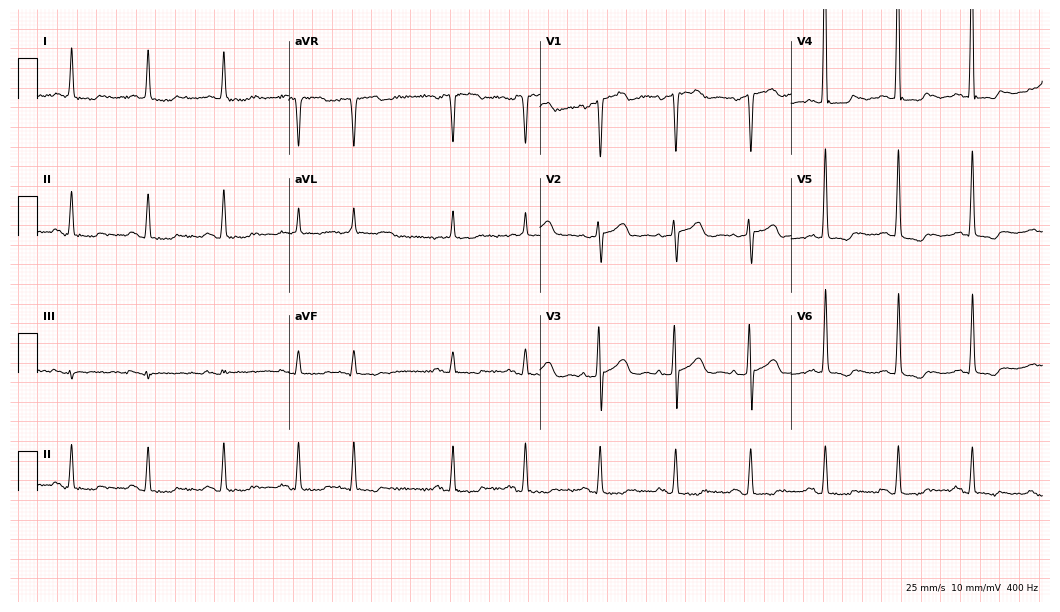
Electrocardiogram (10.2-second recording at 400 Hz), an 83-year-old female. Of the six screened findings (first-degree AV block, right bundle branch block (RBBB), left bundle branch block (LBBB), sinus bradycardia, atrial fibrillation (AF), sinus tachycardia), none is recorded. Findings outside these six are not listed.